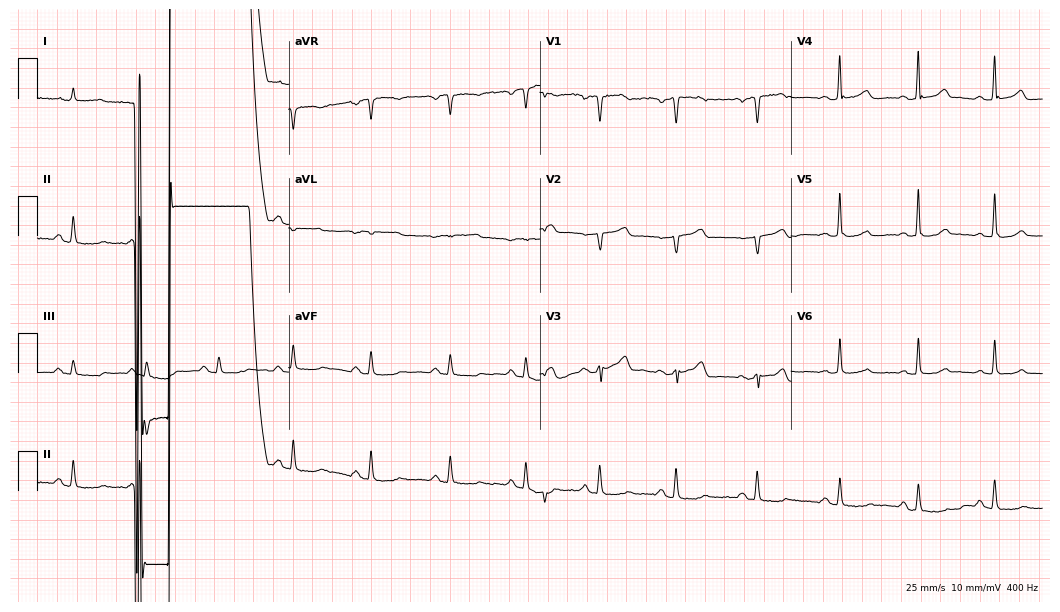
ECG (10.2-second recording at 400 Hz) — a man, 75 years old. Screened for six findings — first-degree AV block, right bundle branch block, left bundle branch block, sinus bradycardia, atrial fibrillation, sinus tachycardia — none is recorded.